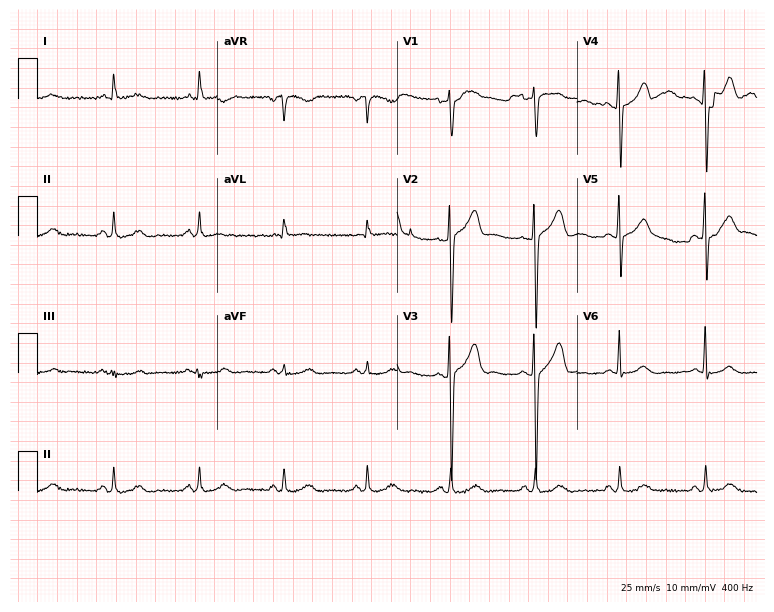
12-lead ECG from a 69-year-old male (7.3-second recording at 400 Hz). Recorded interpretation: within normal limits.